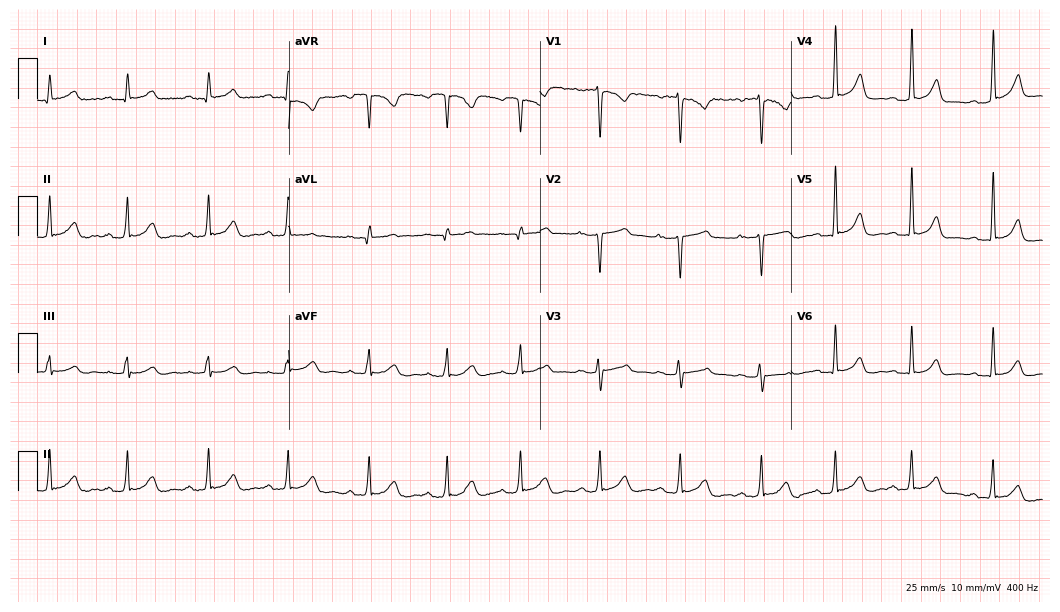
Electrocardiogram, a 28-year-old female patient. Overall reading on record: normal ECG.